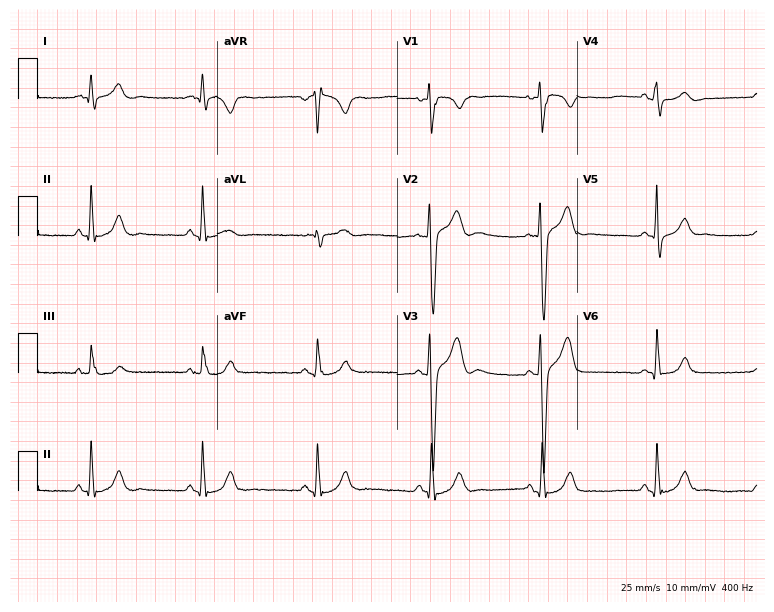
Standard 12-lead ECG recorded from a male patient, 34 years old (7.3-second recording at 400 Hz). None of these six findings is recorded: first-degree AV block, right bundle branch block (RBBB), left bundle branch block (LBBB), sinus bradycardia, atrial fibrillation (AF), sinus tachycardia. Other findings, if any, are not listed.